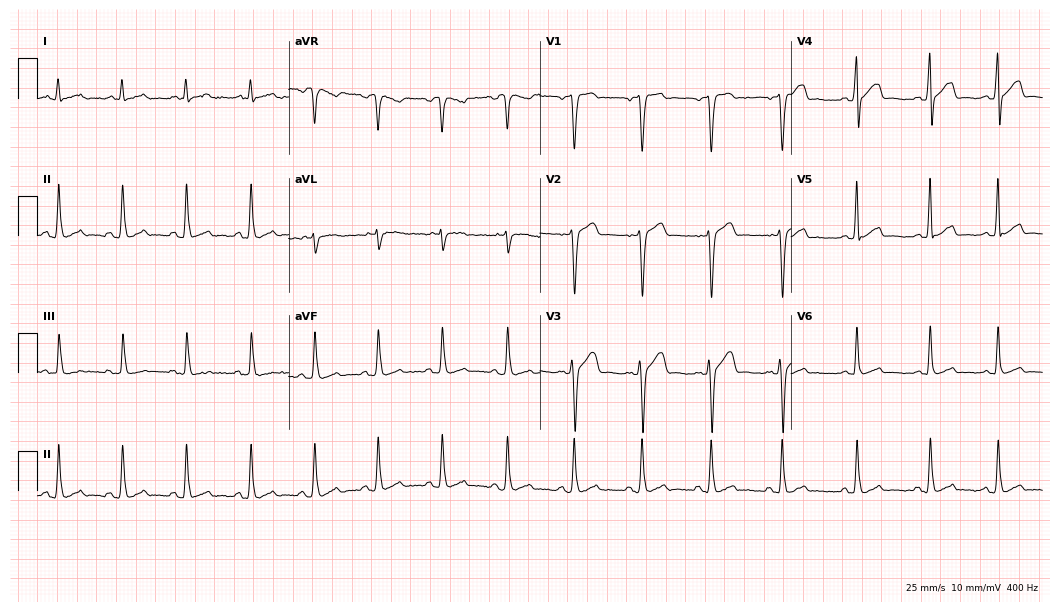
Standard 12-lead ECG recorded from a man, 48 years old (10.2-second recording at 400 Hz). Read as a normal ECG.